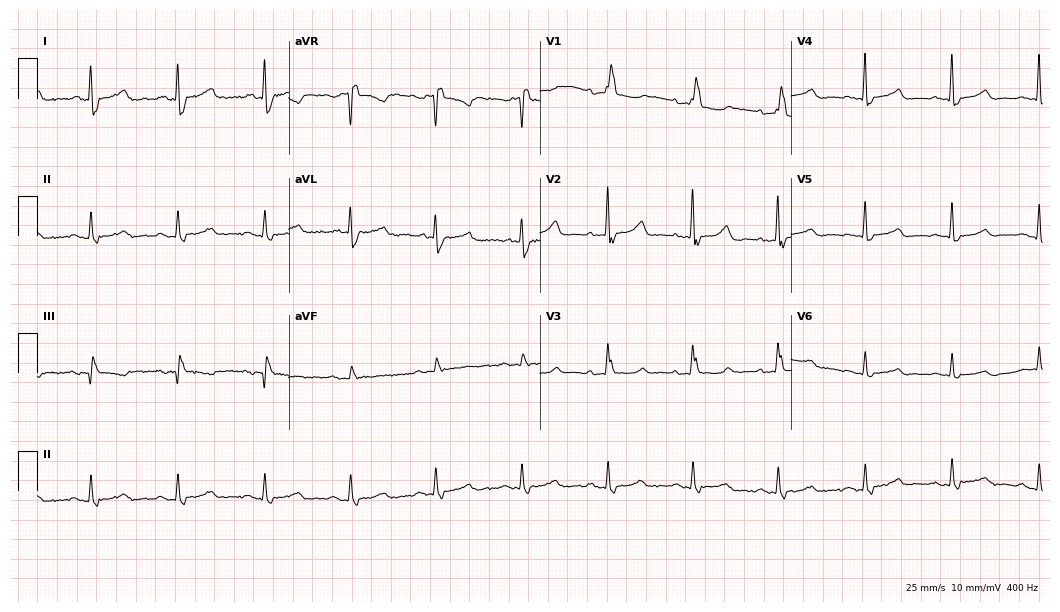
Standard 12-lead ECG recorded from an 82-year-old female patient. The tracing shows right bundle branch block (RBBB).